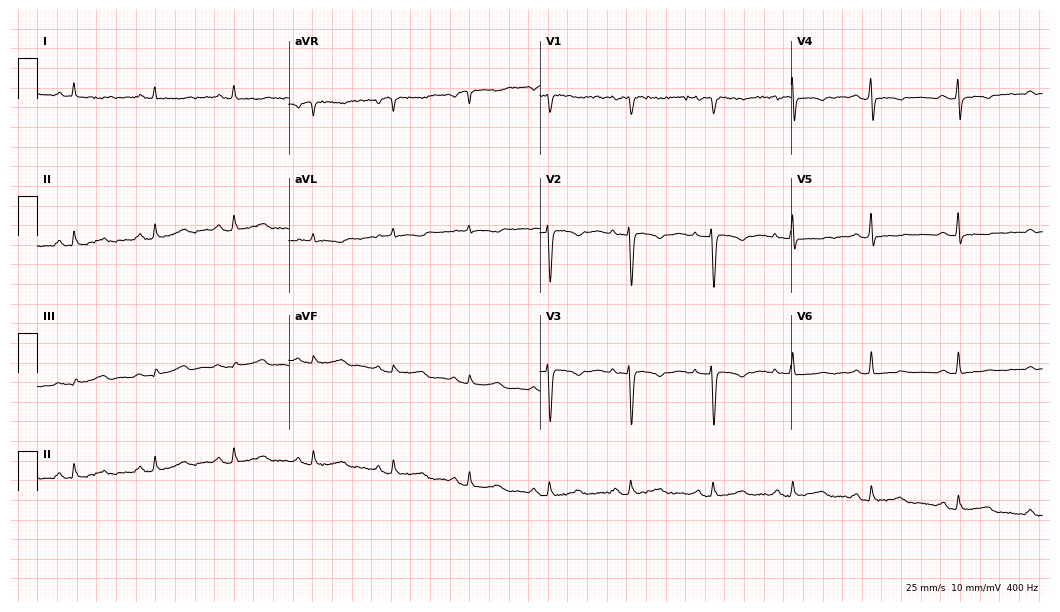
12-lead ECG from a woman, 36 years old (10.2-second recording at 400 Hz). No first-degree AV block, right bundle branch block (RBBB), left bundle branch block (LBBB), sinus bradycardia, atrial fibrillation (AF) or sinus tachycardia recorded for this tracing. Only these six findings were labelled.